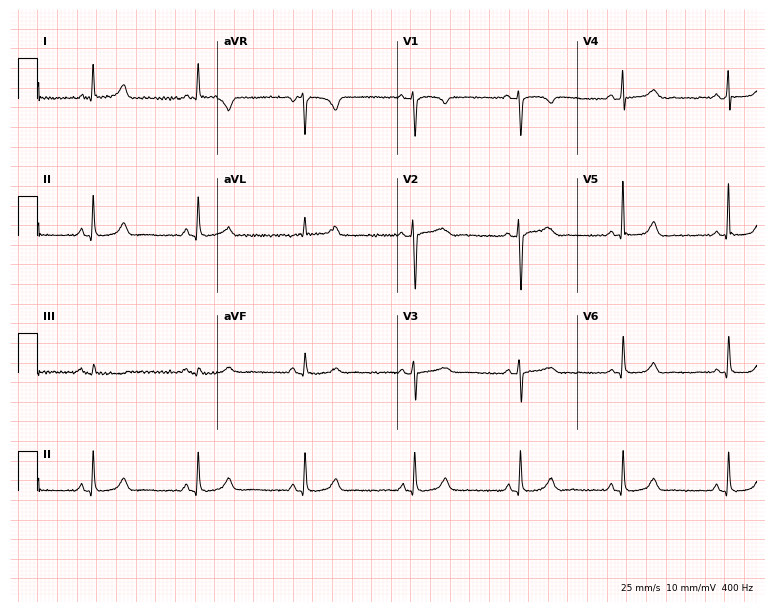
12-lead ECG from a 65-year-old female patient. Recorded interpretation: within normal limits.